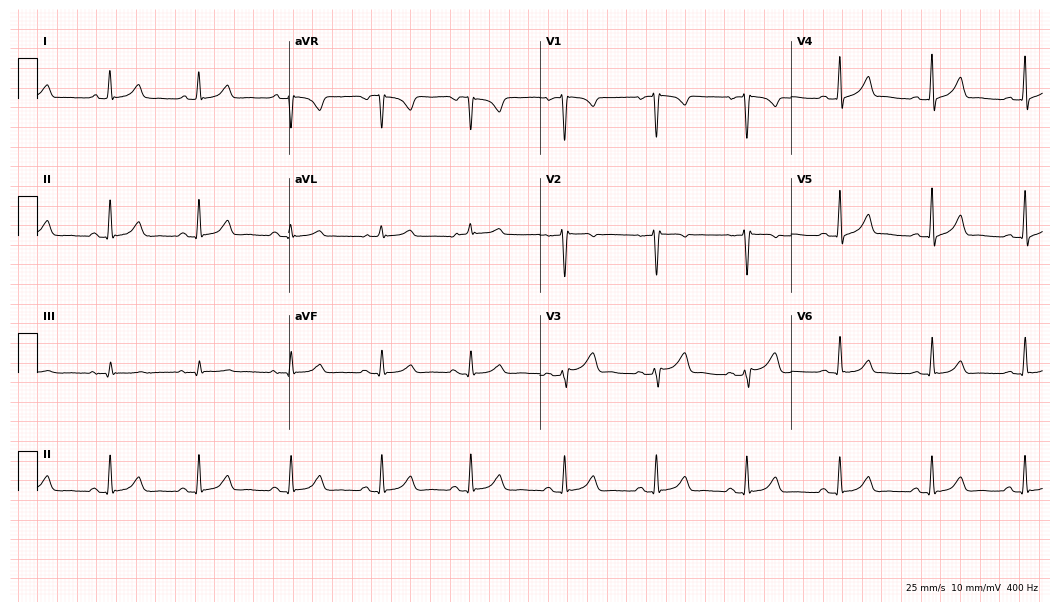
12-lead ECG from a female, 35 years old (10.2-second recording at 400 Hz). Recorded interpretation: within normal limits.